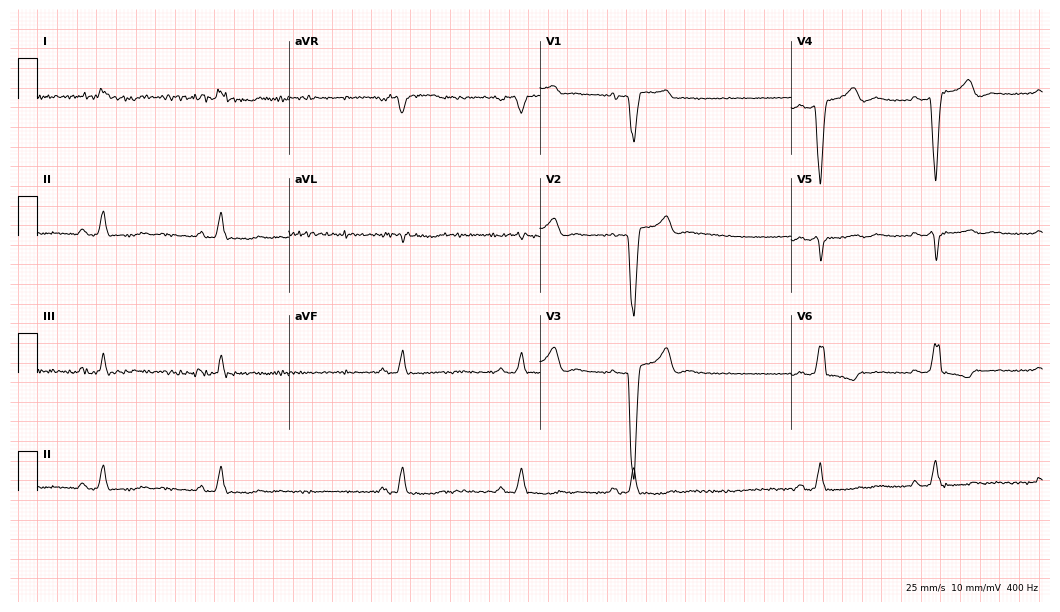
Standard 12-lead ECG recorded from a woman, 81 years old. The tracing shows right bundle branch block, left bundle branch block, sinus bradycardia (a sinus rate of 50 beats per minute or less).